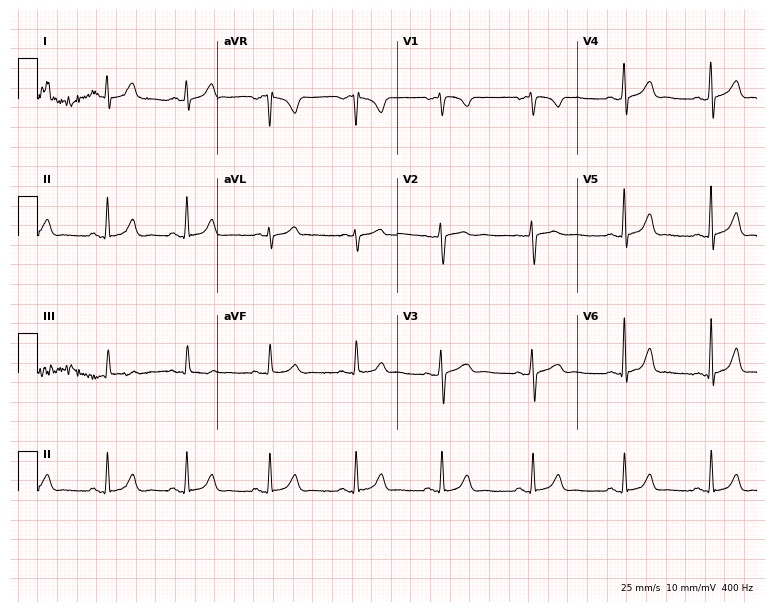
12-lead ECG from a 36-year-old female patient. Recorded interpretation: within normal limits.